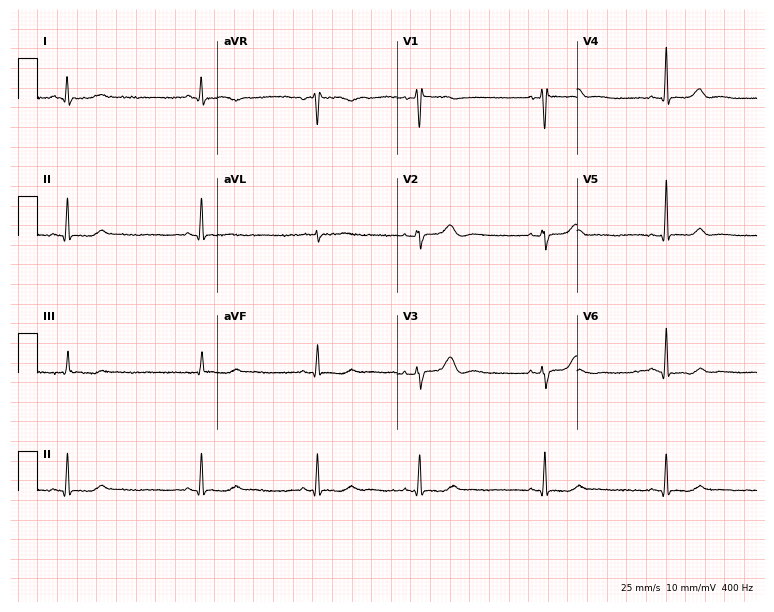
Standard 12-lead ECG recorded from a 37-year-old woman (7.3-second recording at 400 Hz). None of these six findings is recorded: first-degree AV block, right bundle branch block, left bundle branch block, sinus bradycardia, atrial fibrillation, sinus tachycardia. Findings outside these six are not listed.